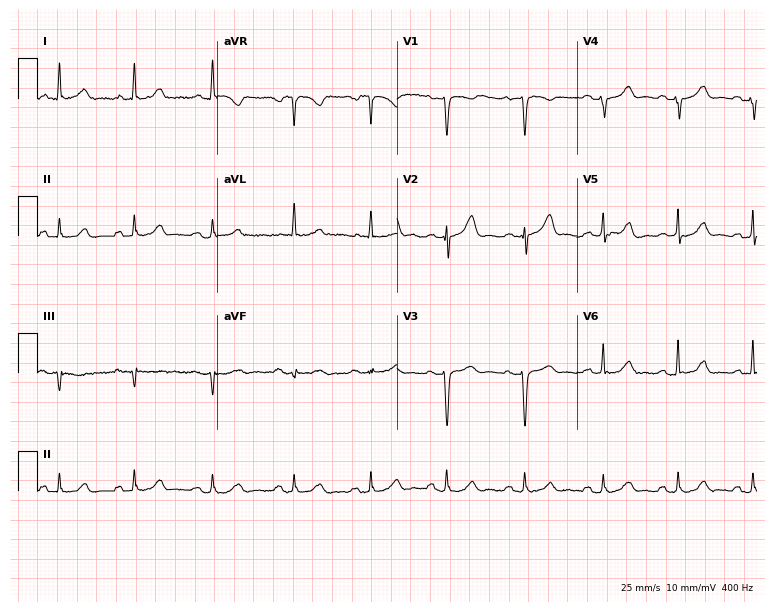
Resting 12-lead electrocardiogram (7.3-second recording at 400 Hz). Patient: a 61-year-old female. Read as a normal ECG.